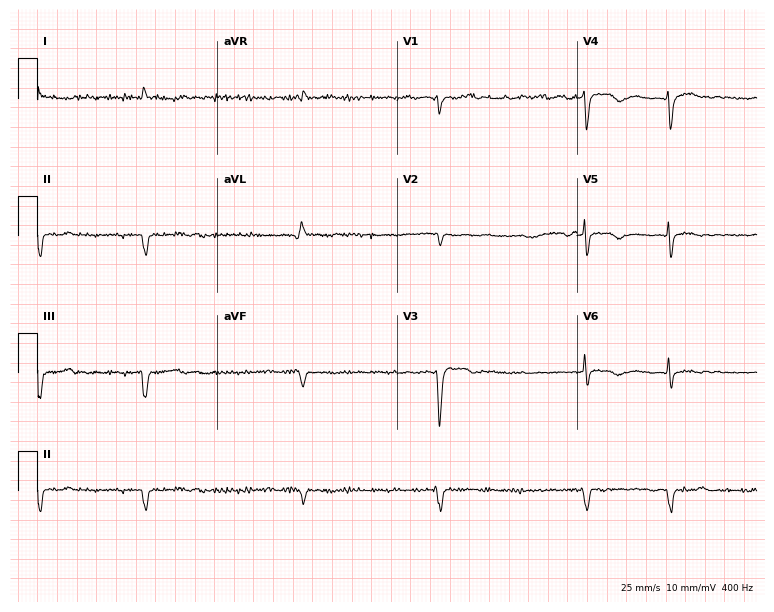
12-lead ECG from a male patient, 67 years old (7.3-second recording at 400 Hz). Shows atrial fibrillation (AF).